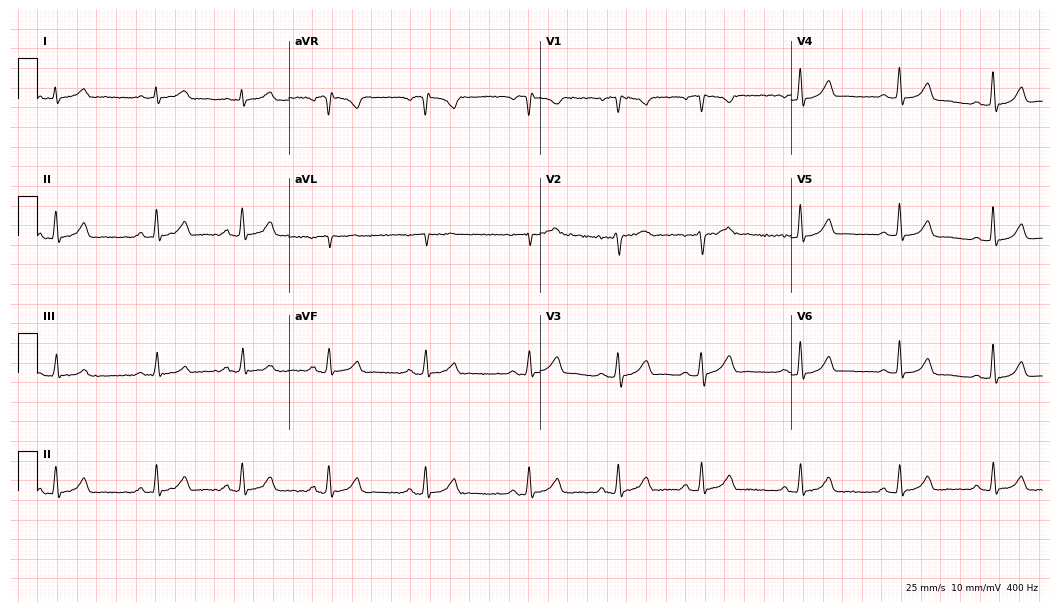
Standard 12-lead ECG recorded from a female patient, 31 years old. Read as a normal ECG.